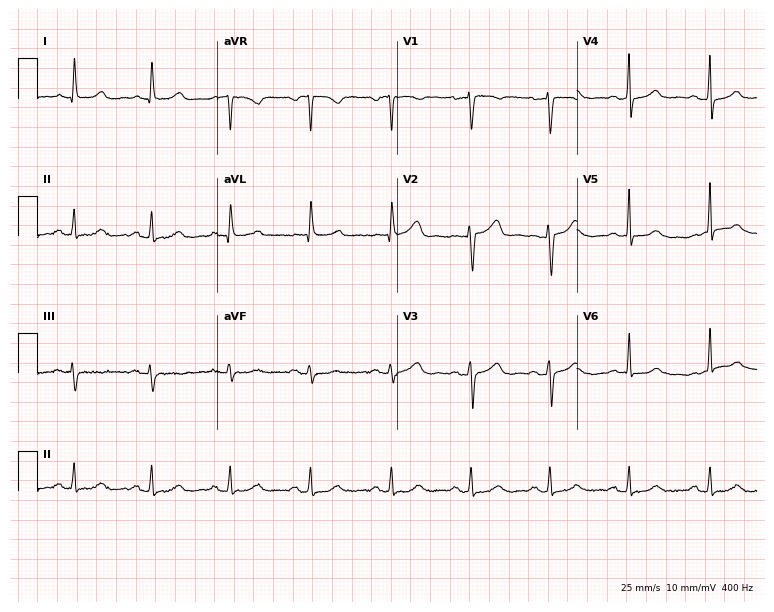
ECG — a 76-year-old female. Labelled as a normal ECG.